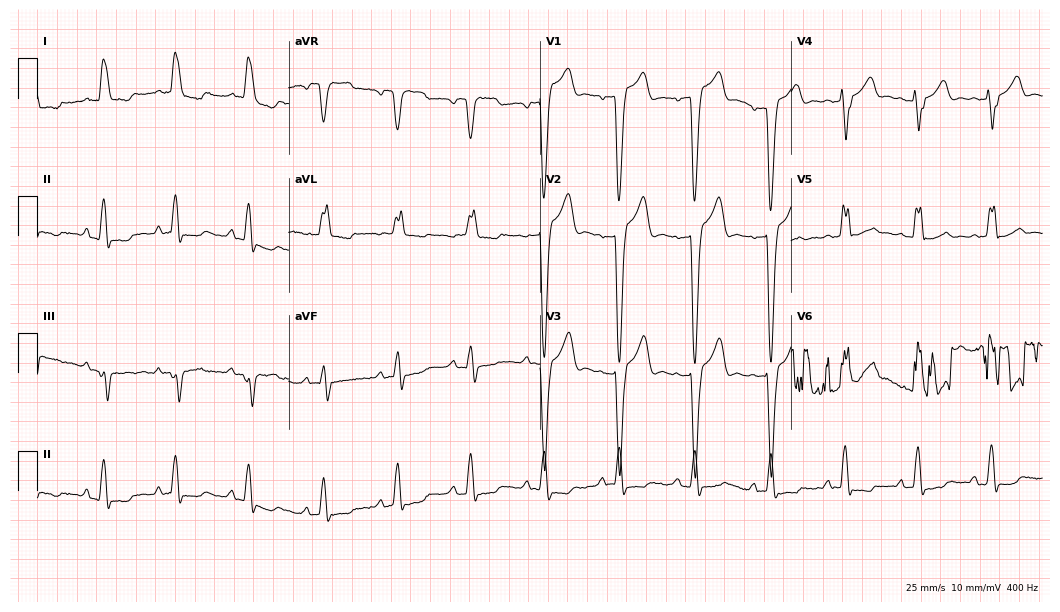
12-lead ECG from a female, 86 years old (10.2-second recording at 400 Hz). Shows left bundle branch block.